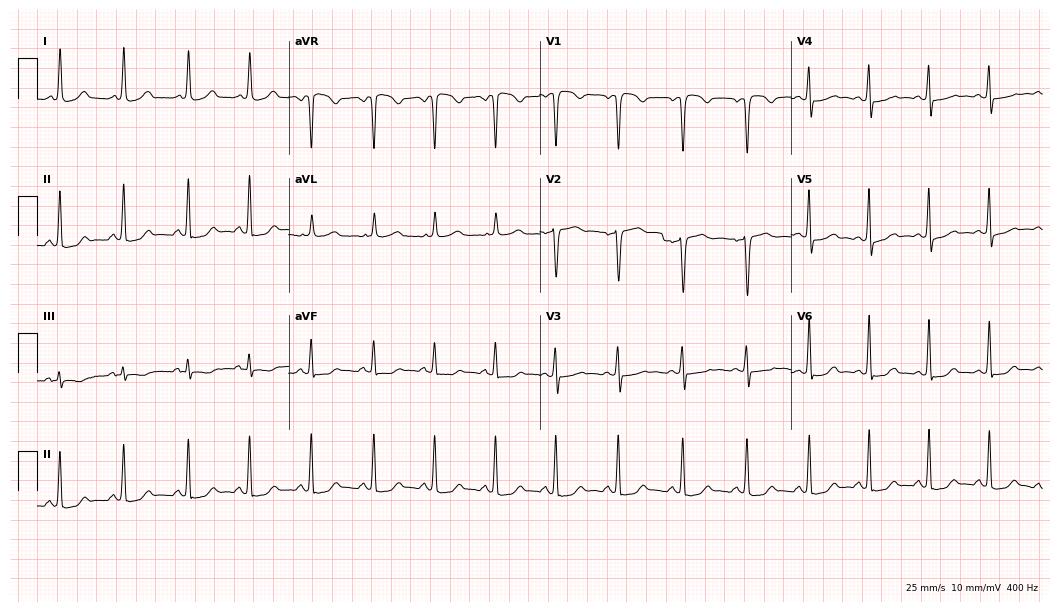
Standard 12-lead ECG recorded from a 39-year-old female (10.2-second recording at 400 Hz). Read as a normal ECG.